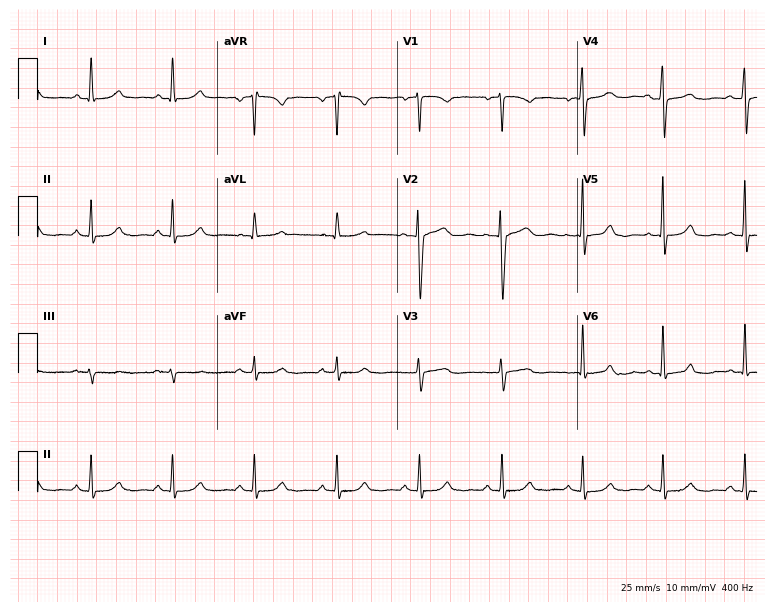
Resting 12-lead electrocardiogram. Patient: a female, 41 years old. Read as a normal ECG.